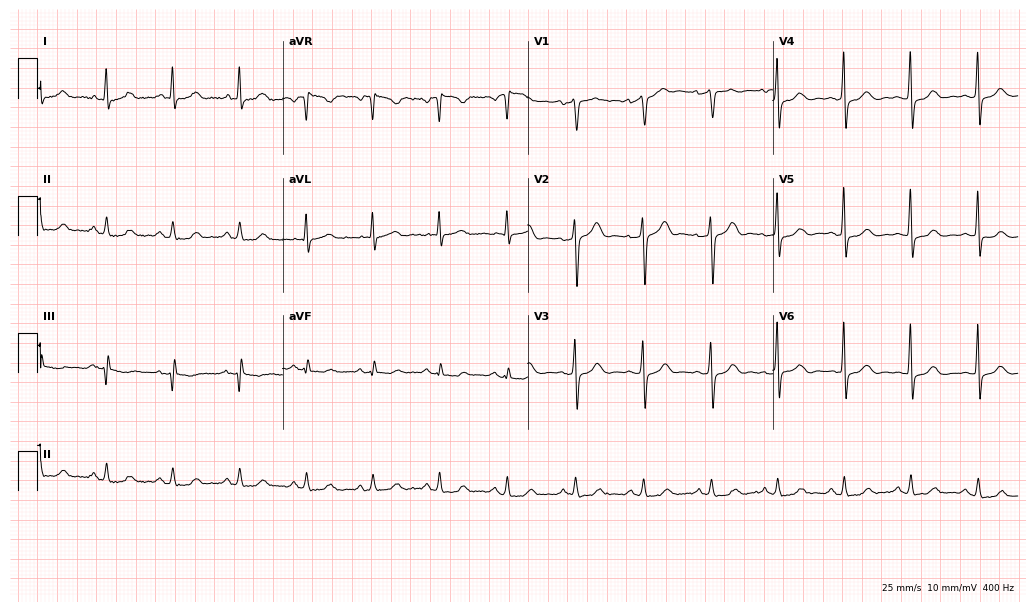
Electrocardiogram, a female, 67 years old. Overall reading on record: normal ECG.